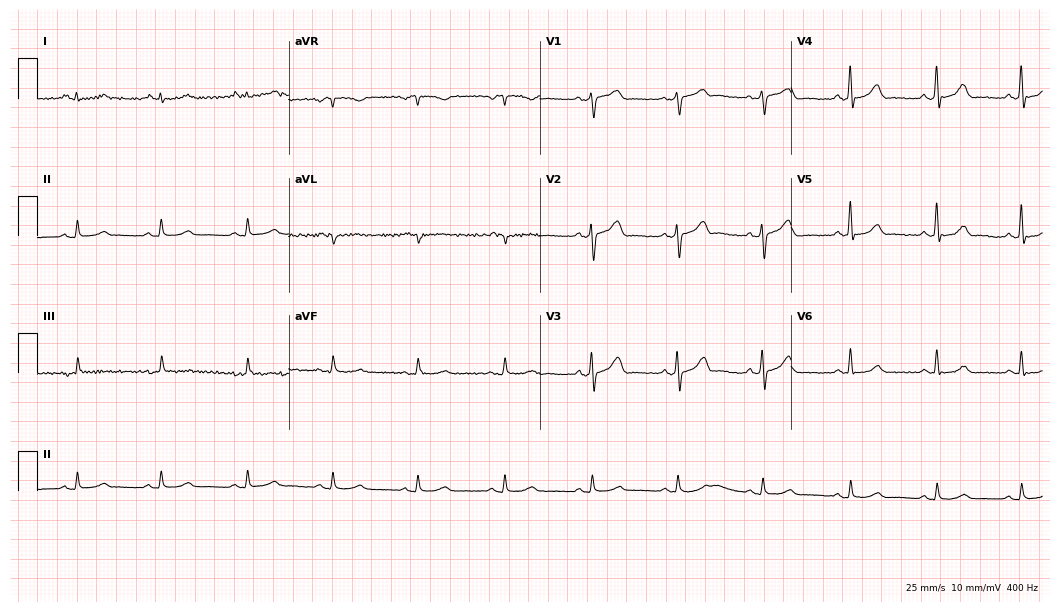
Standard 12-lead ECG recorded from a male, 68 years old (10.2-second recording at 400 Hz). Read as a normal ECG.